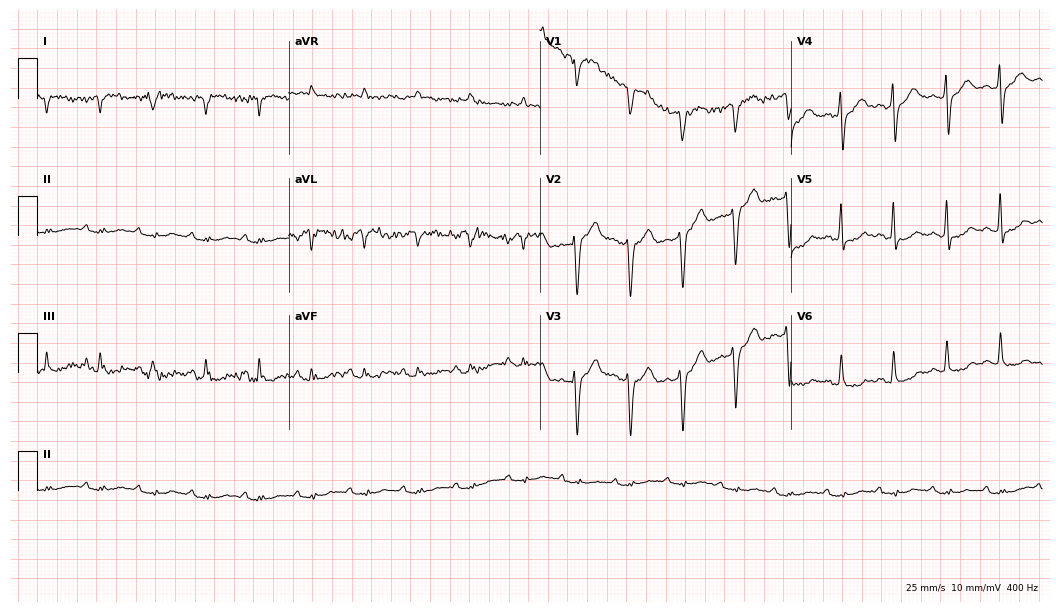
Electrocardiogram (10.2-second recording at 400 Hz), an 82-year-old man. Of the six screened findings (first-degree AV block, right bundle branch block, left bundle branch block, sinus bradycardia, atrial fibrillation, sinus tachycardia), none is recorded. Other findings, if any, are not listed.